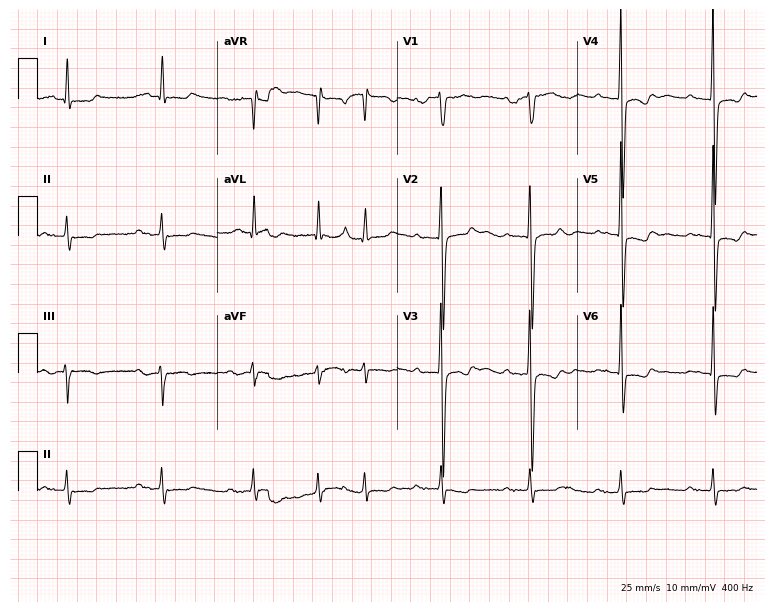
ECG — a 70-year-old male patient. Findings include first-degree AV block.